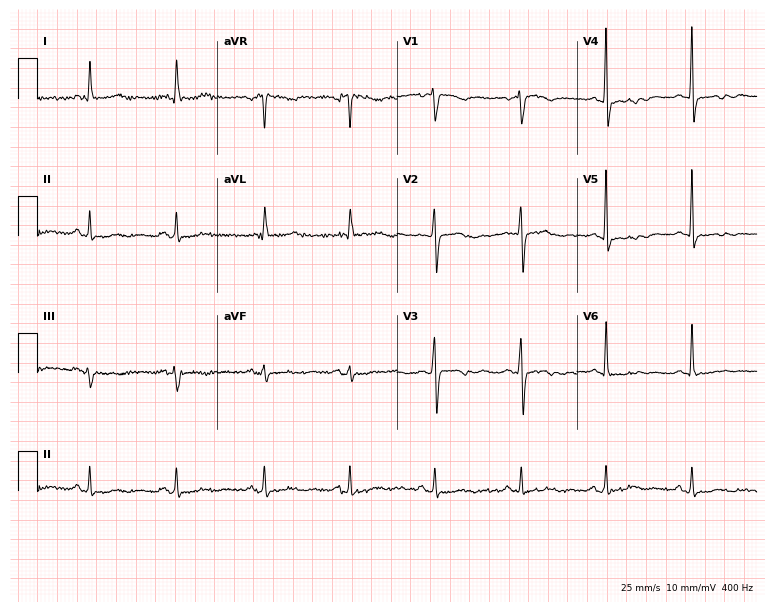
Standard 12-lead ECG recorded from a woman, 56 years old (7.3-second recording at 400 Hz). None of these six findings is recorded: first-degree AV block, right bundle branch block (RBBB), left bundle branch block (LBBB), sinus bradycardia, atrial fibrillation (AF), sinus tachycardia. Only these six findings were labelled.